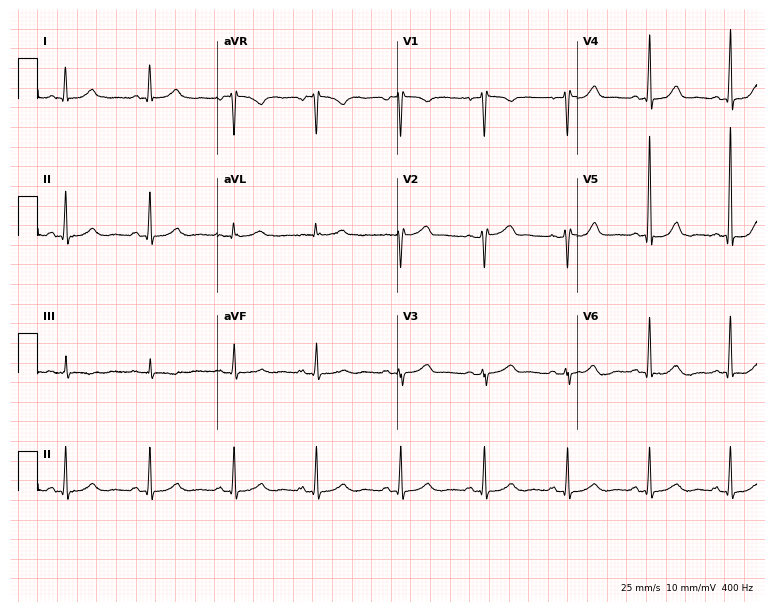
12-lead ECG from a woman, 59 years old. No first-degree AV block, right bundle branch block (RBBB), left bundle branch block (LBBB), sinus bradycardia, atrial fibrillation (AF) or sinus tachycardia recorded for this tracing.